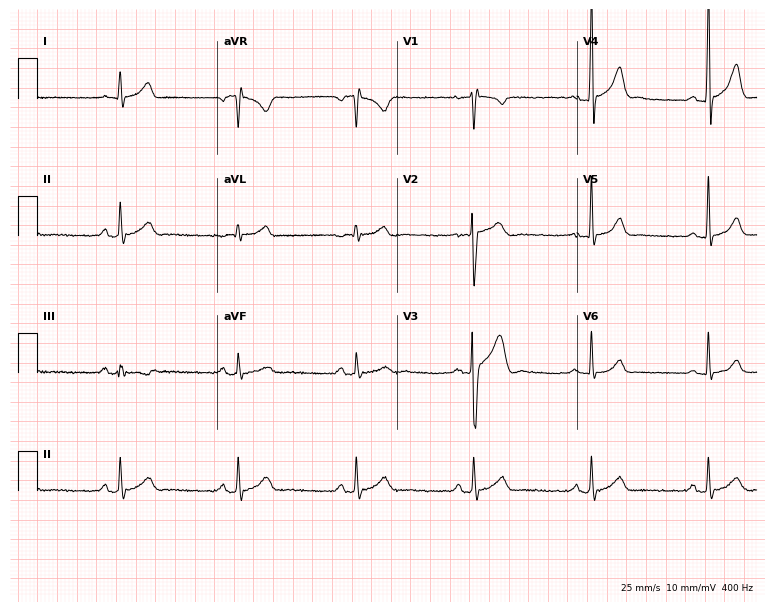
ECG — a man, 22 years old. Screened for six findings — first-degree AV block, right bundle branch block (RBBB), left bundle branch block (LBBB), sinus bradycardia, atrial fibrillation (AF), sinus tachycardia — none is recorded.